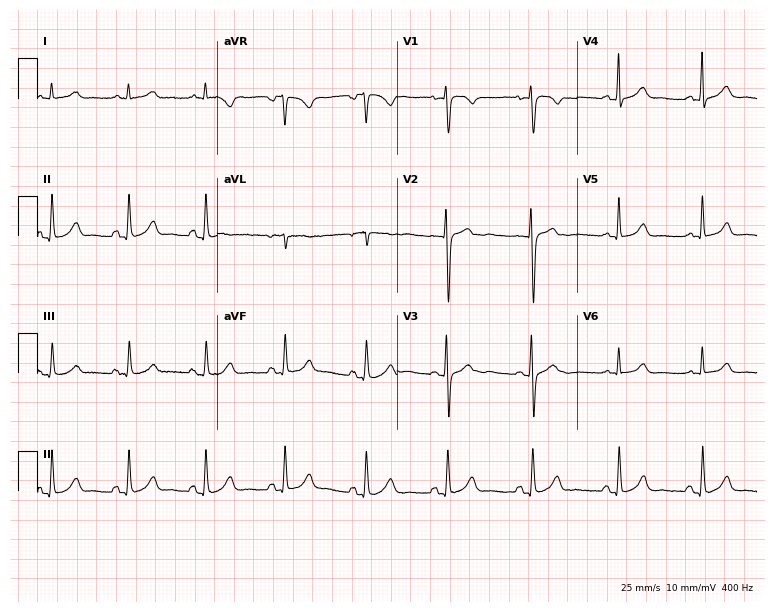
Resting 12-lead electrocardiogram. Patient: a woman, 46 years old. Read as a normal ECG.